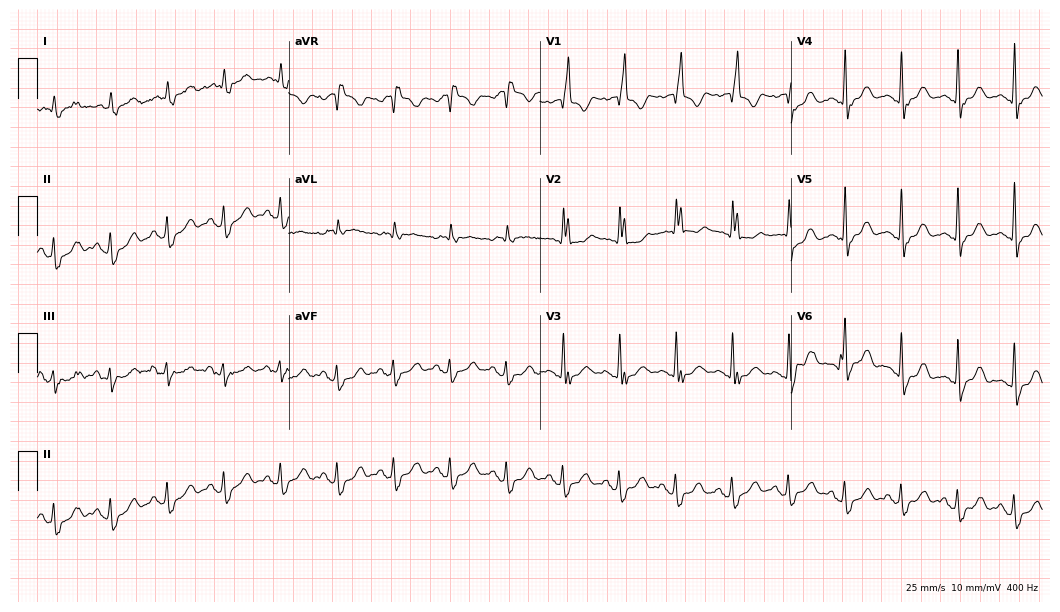
Standard 12-lead ECG recorded from a woman, 71 years old. None of these six findings is recorded: first-degree AV block, right bundle branch block, left bundle branch block, sinus bradycardia, atrial fibrillation, sinus tachycardia.